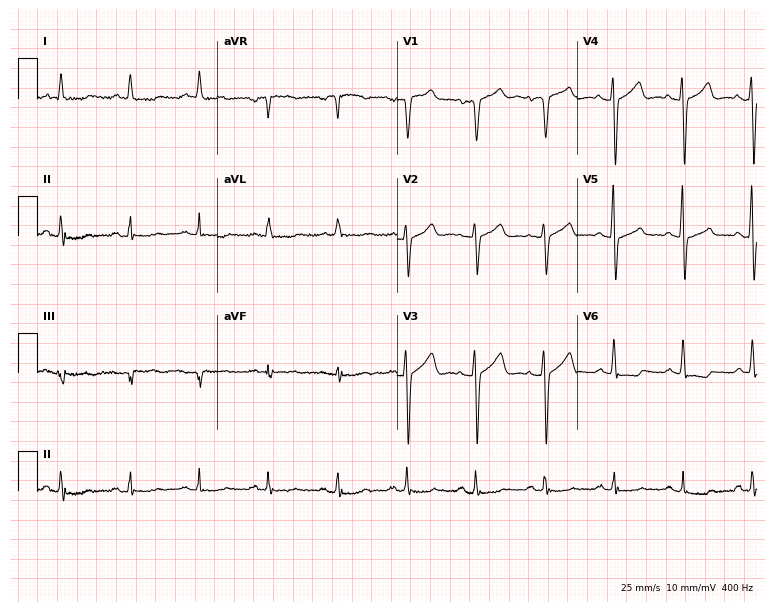
12-lead ECG from a 68-year-old female (7.3-second recording at 400 Hz). Recorded interpretation: within normal limits.